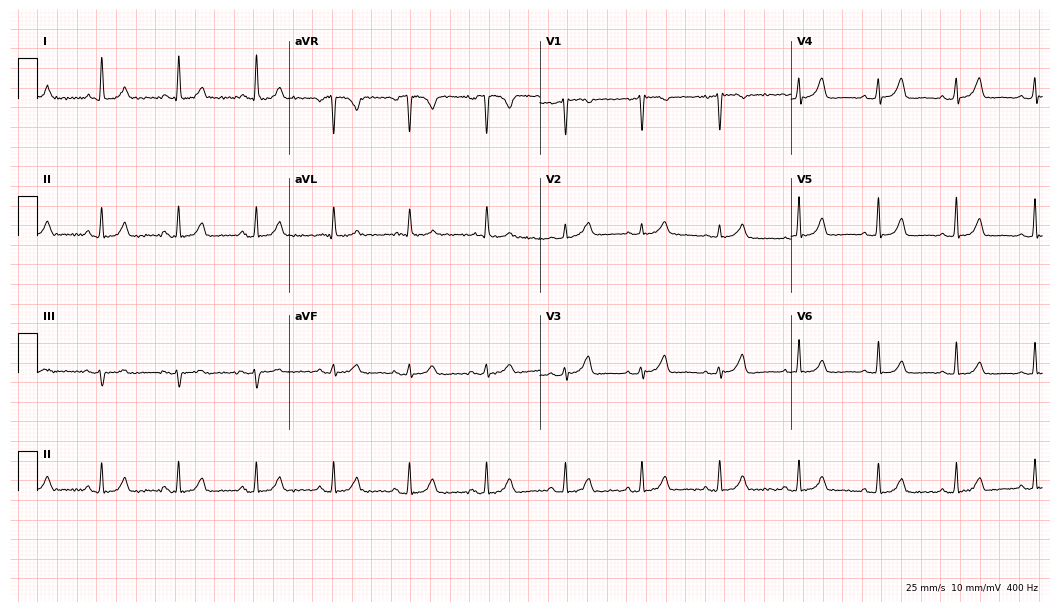
Standard 12-lead ECG recorded from a female patient, 76 years old (10.2-second recording at 400 Hz). Read as a normal ECG.